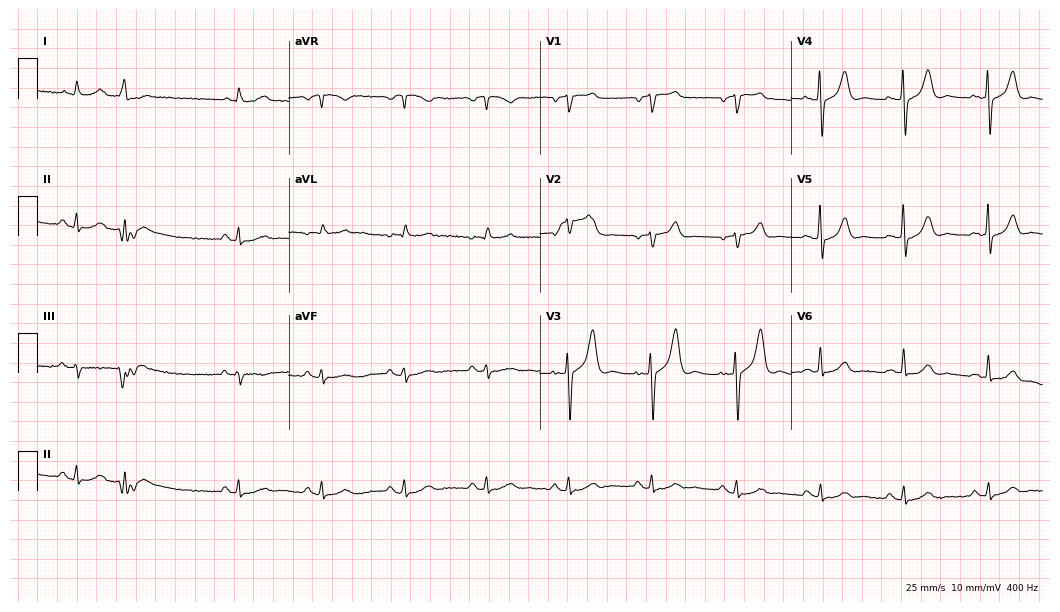
12-lead ECG from a male patient, 81 years old. No first-degree AV block, right bundle branch block, left bundle branch block, sinus bradycardia, atrial fibrillation or sinus tachycardia recorded for this tracing.